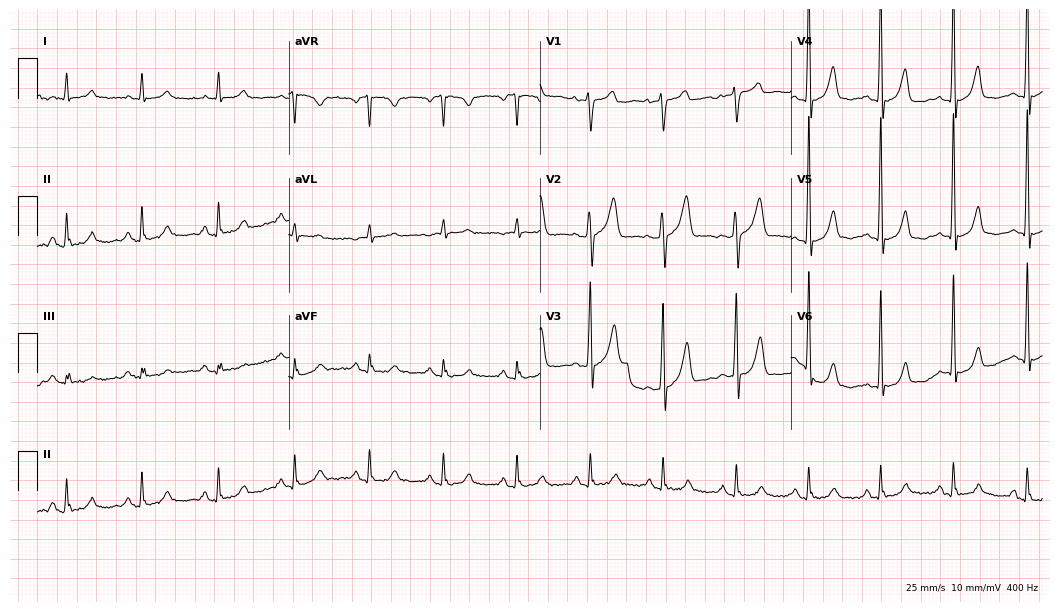
Standard 12-lead ECG recorded from a man, 79 years old (10.2-second recording at 400 Hz). None of these six findings is recorded: first-degree AV block, right bundle branch block (RBBB), left bundle branch block (LBBB), sinus bradycardia, atrial fibrillation (AF), sinus tachycardia. Other findings, if any, are not listed.